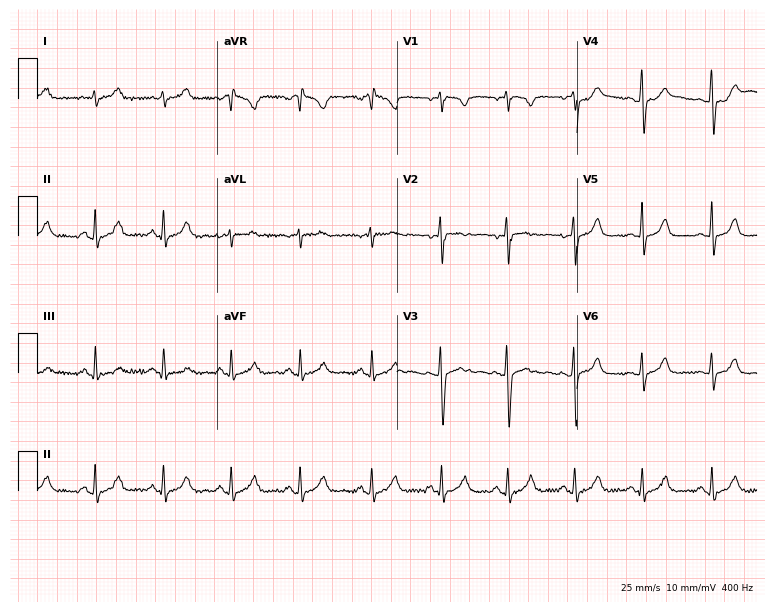
Electrocardiogram (7.3-second recording at 400 Hz), a female, 27 years old. Of the six screened findings (first-degree AV block, right bundle branch block (RBBB), left bundle branch block (LBBB), sinus bradycardia, atrial fibrillation (AF), sinus tachycardia), none is recorded.